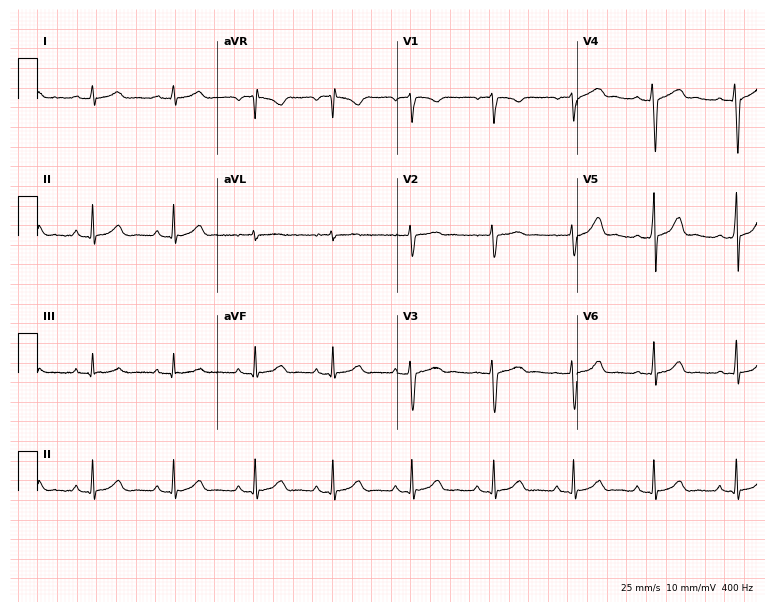
ECG — a female patient, 39 years old. Screened for six findings — first-degree AV block, right bundle branch block (RBBB), left bundle branch block (LBBB), sinus bradycardia, atrial fibrillation (AF), sinus tachycardia — none is recorded. Only these six findings were labelled.